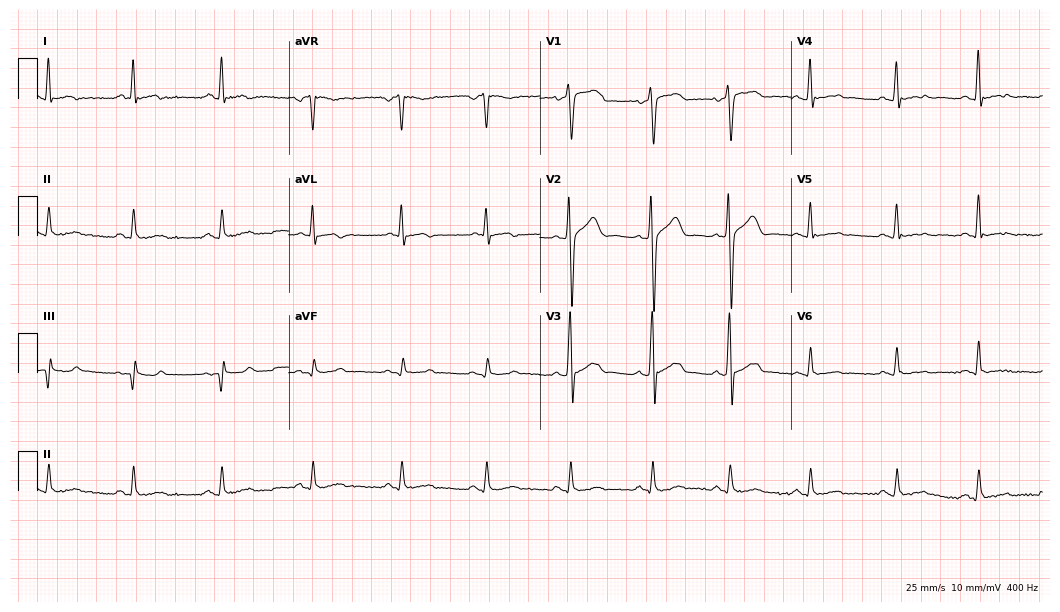
Standard 12-lead ECG recorded from a 35-year-old man (10.2-second recording at 400 Hz). None of these six findings is recorded: first-degree AV block, right bundle branch block (RBBB), left bundle branch block (LBBB), sinus bradycardia, atrial fibrillation (AF), sinus tachycardia. Other findings, if any, are not listed.